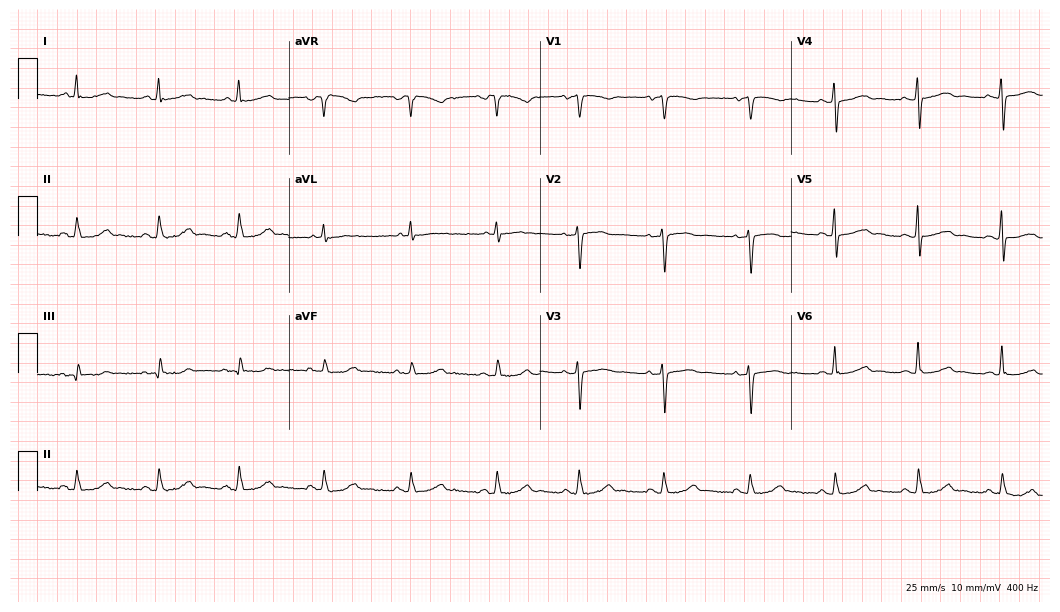
12-lead ECG from a 61-year-old female patient. Labelled as a normal ECG.